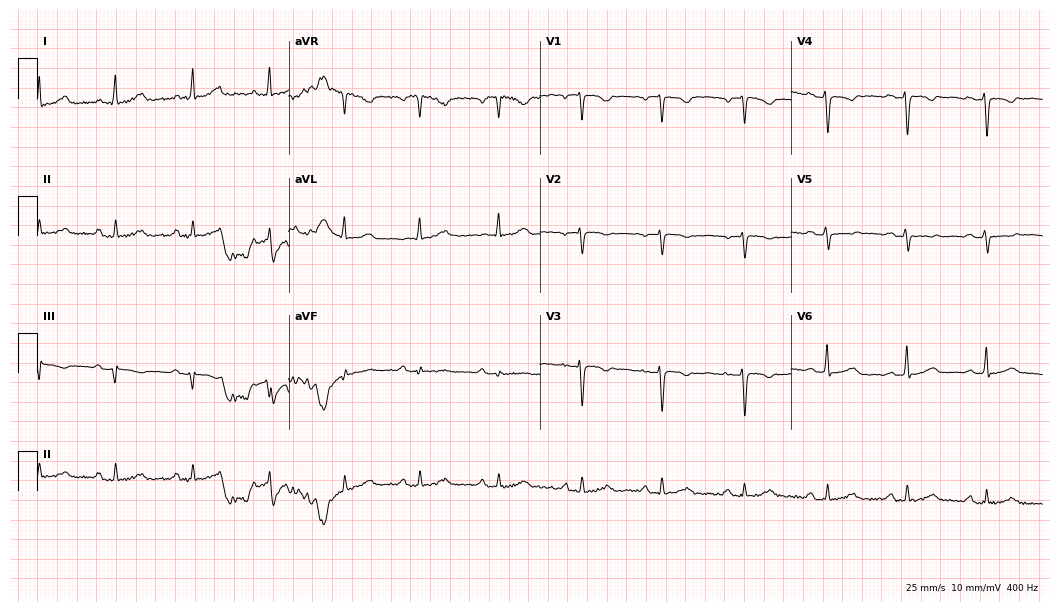
ECG (10.2-second recording at 400 Hz) — a 45-year-old woman. Screened for six findings — first-degree AV block, right bundle branch block (RBBB), left bundle branch block (LBBB), sinus bradycardia, atrial fibrillation (AF), sinus tachycardia — none is recorded.